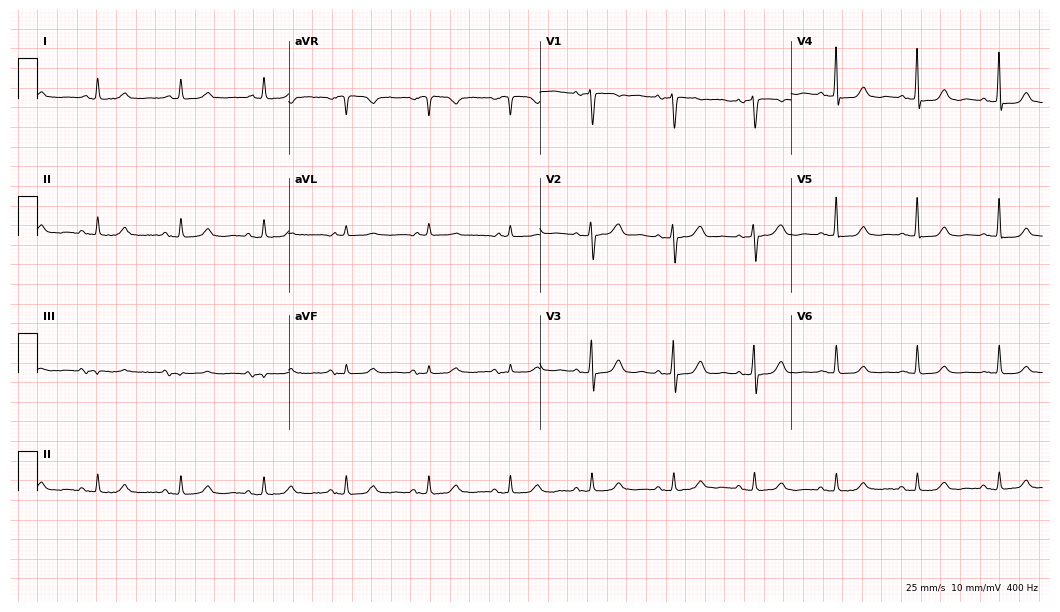
ECG (10.2-second recording at 400 Hz) — a woman, 69 years old. Labelled as a normal ECG.